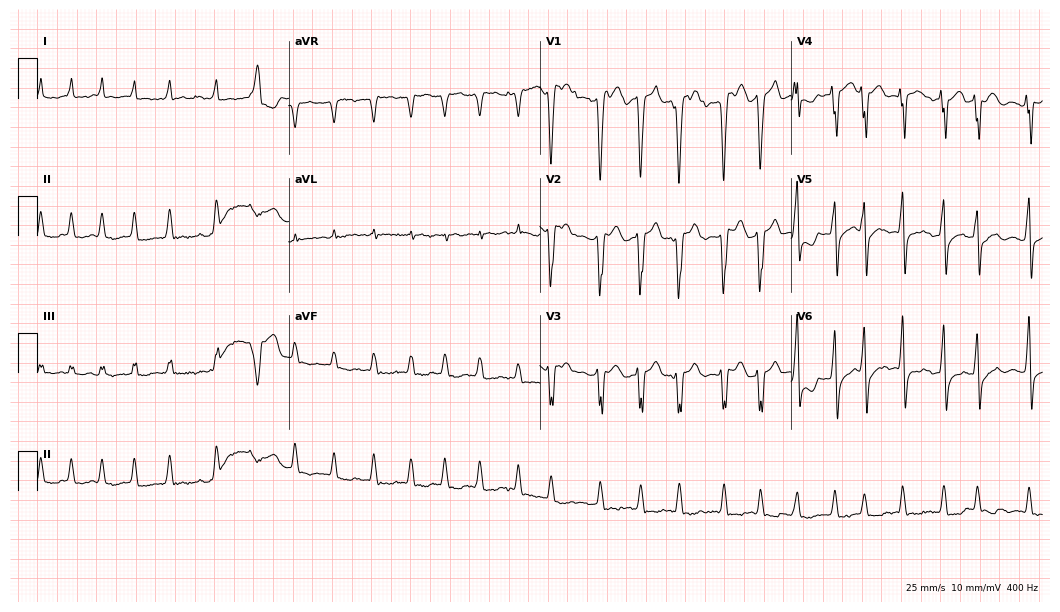
ECG (10.2-second recording at 400 Hz) — a male patient, 52 years old. Findings include atrial fibrillation.